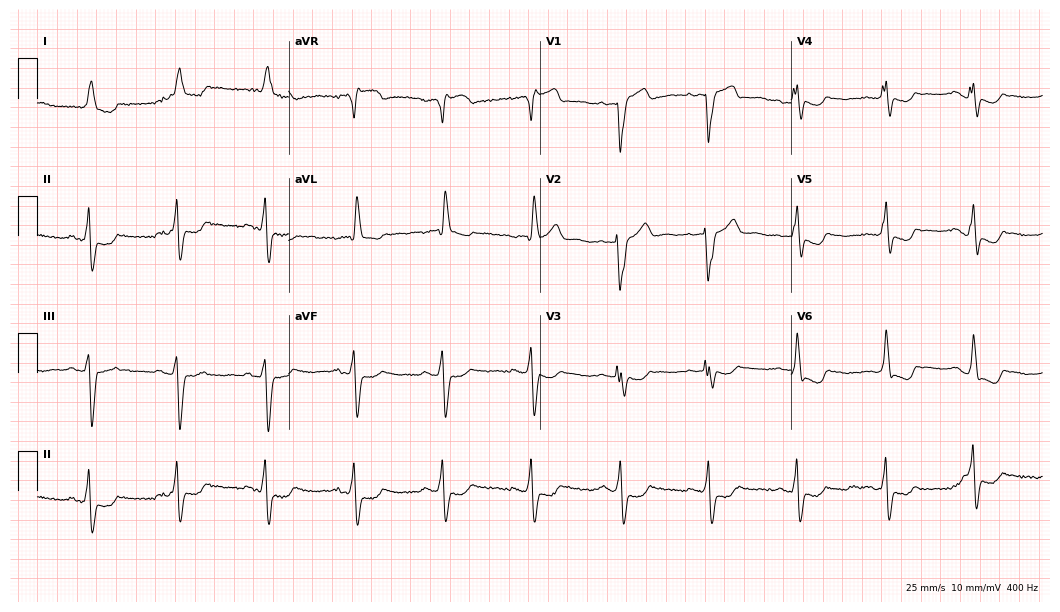
Standard 12-lead ECG recorded from a 79-year-old female patient. None of these six findings is recorded: first-degree AV block, right bundle branch block (RBBB), left bundle branch block (LBBB), sinus bradycardia, atrial fibrillation (AF), sinus tachycardia. Findings outside these six are not listed.